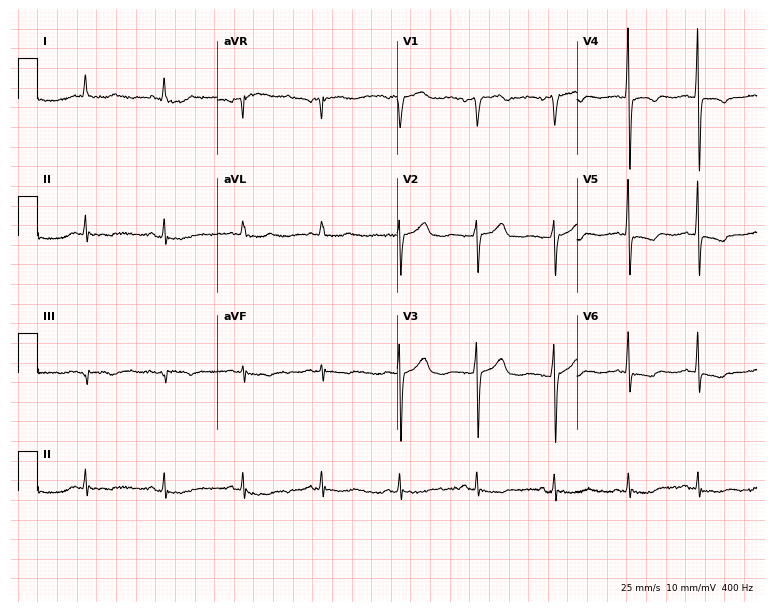
Resting 12-lead electrocardiogram. Patient: a male, 52 years old. None of these six findings is recorded: first-degree AV block, right bundle branch block, left bundle branch block, sinus bradycardia, atrial fibrillation, sinus tachycardia. Findings outside these six are not listed.